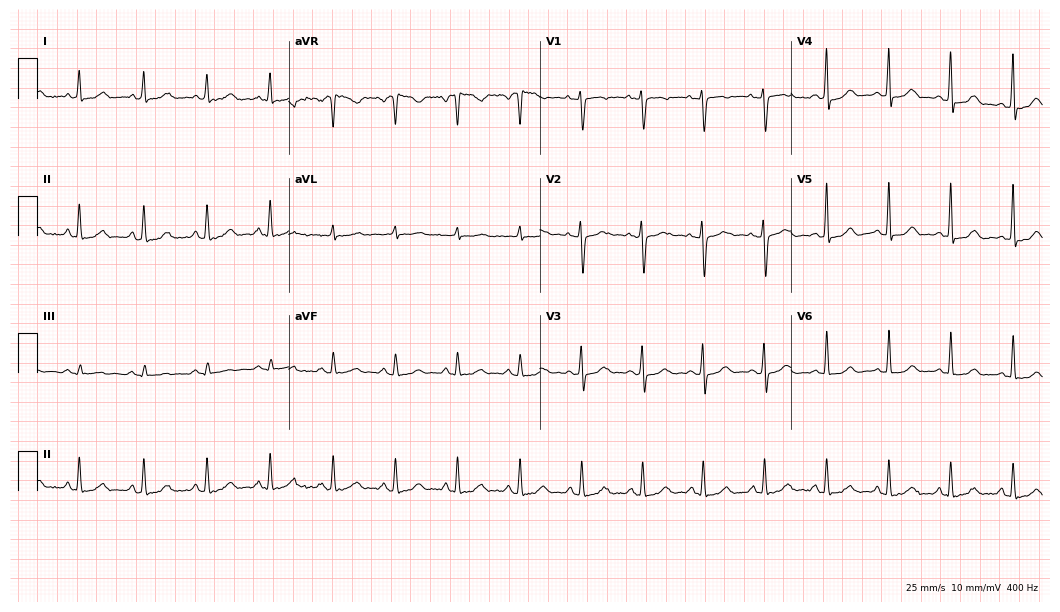
12-lead ECG from a 38-year-old female (10.2-second recording at 400 Hz). No first-degree AV block, right bundle branch block, left bundle branch block, sinus bradycardia, atrial fibrillation or sinus tachycardia recorded for this tracing.